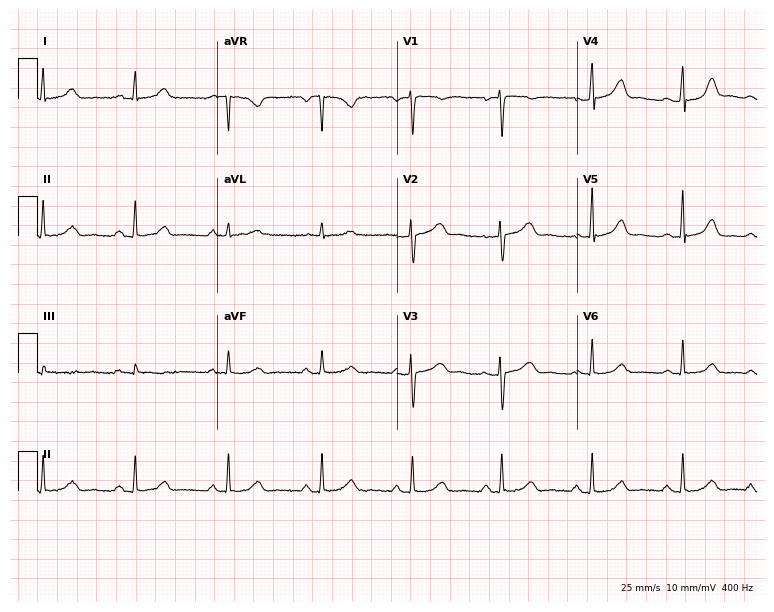
Resting 12-lead electrocardiogram (7.3-second recording at 400 Hz). Patient: a 38-year-old female. Read as a normal ECG.